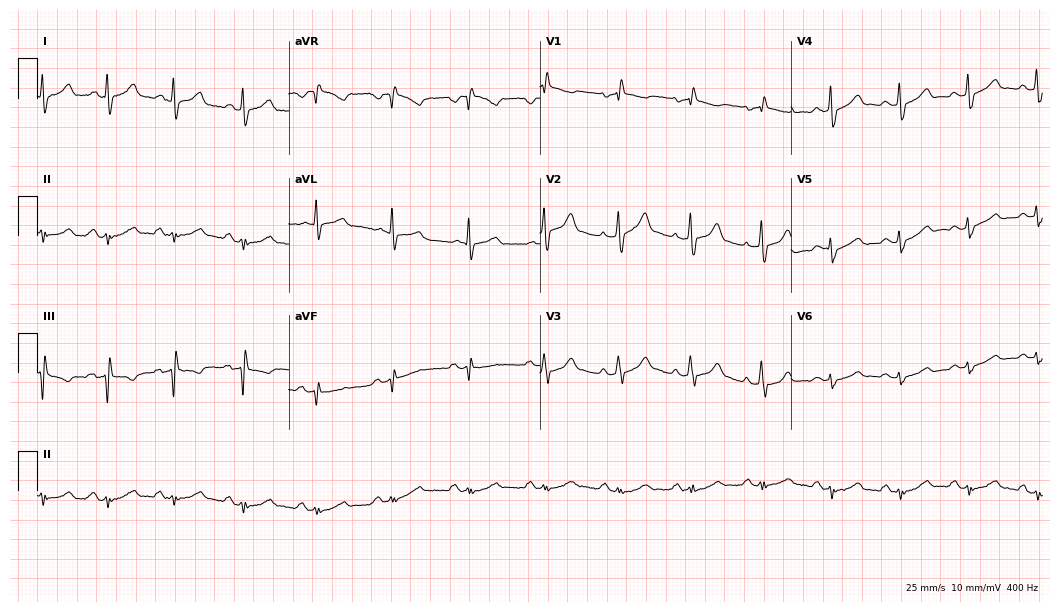
Electrocardiogram (10.2-second recording at 400 Hz), a male patient, 55 years old. Of the six screened findings (first-degree AV block, right bundle branch block (RBBB), left bundle branch block (LBBB), sinus bradycardia, atrial fibrillation (AF), sinus tachycardia), none is recorded. Findings outside these six are not listed.